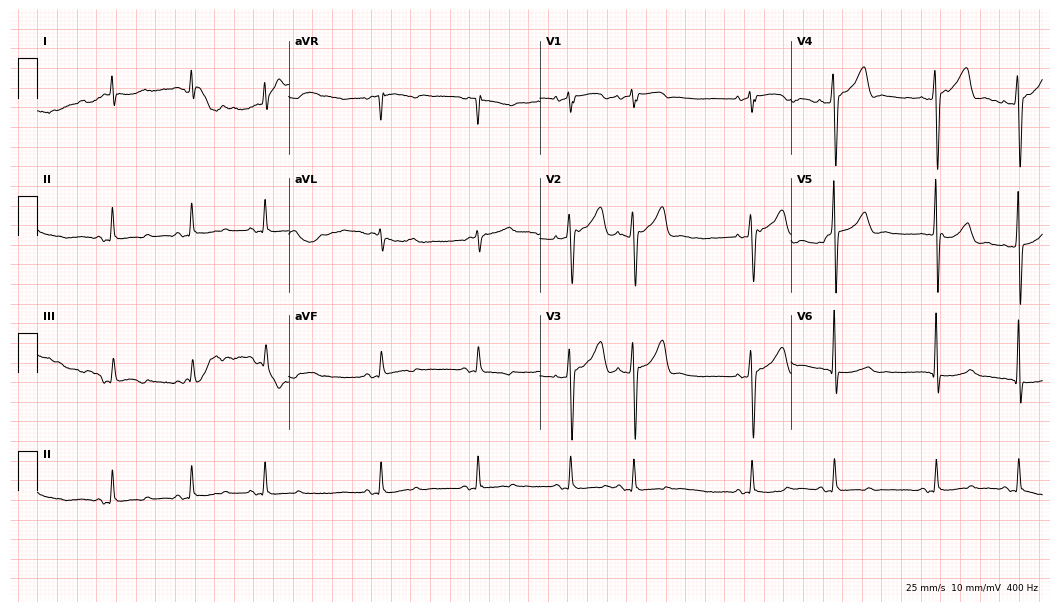
Electrocardiogram, a 77-year-old male. Of the six screened findings (first-degree AV block, right bundle branch block, left bundle branch block, sinus bradycardia, atrial fibrillation, sinus tachycardia), none is recorded. Other findings, if any, are not listed.